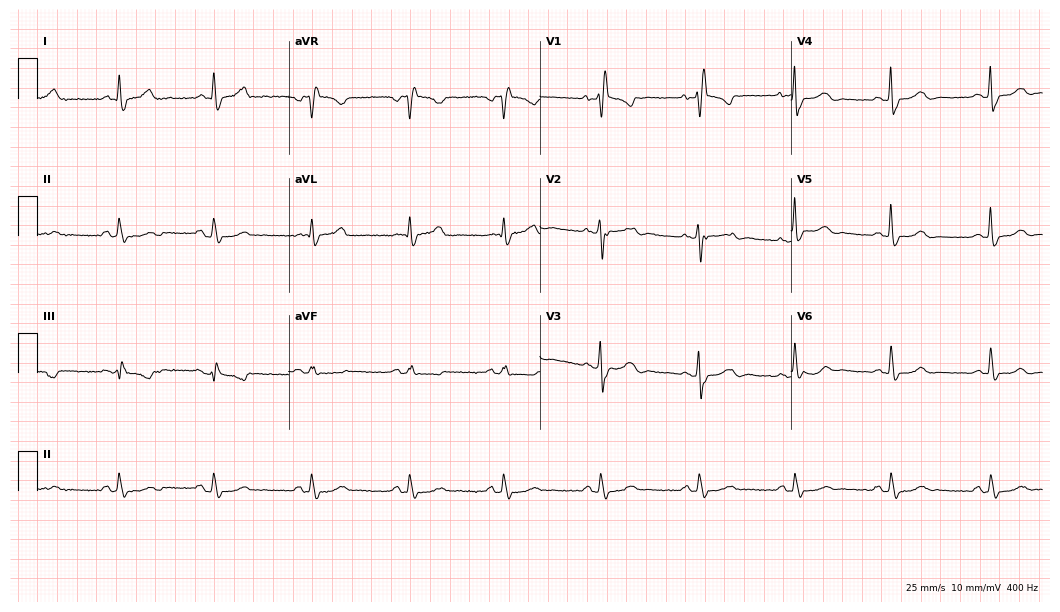
12-lead ECG from a 68-year-old female. Findings include right bundle branch block (RBBB).